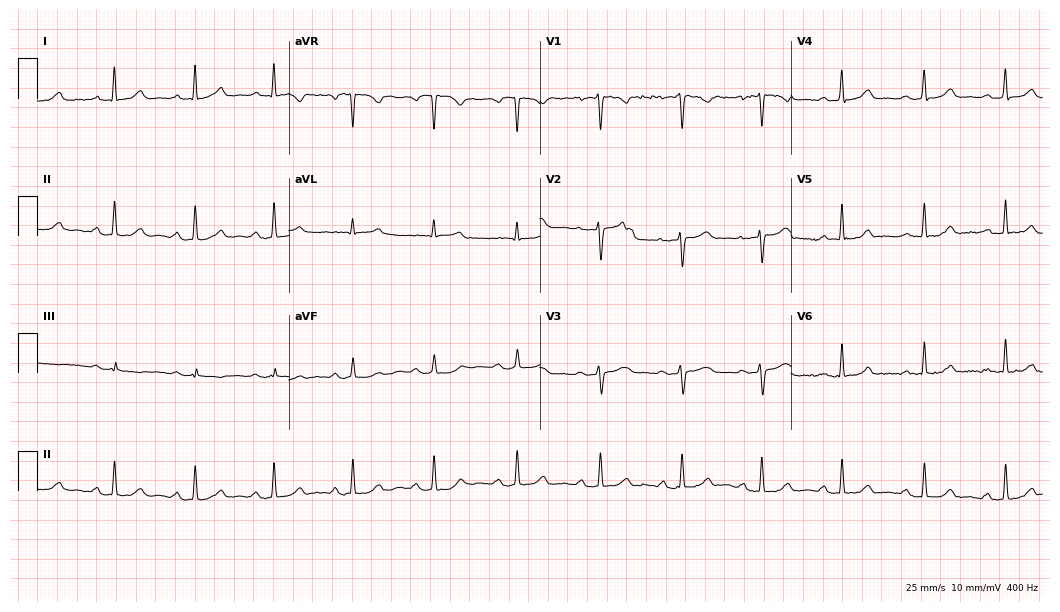
Electrocardiogram (10.2-second recording at 400 Hz), a female, 41 years old. Overall reading on record: normal ECG.